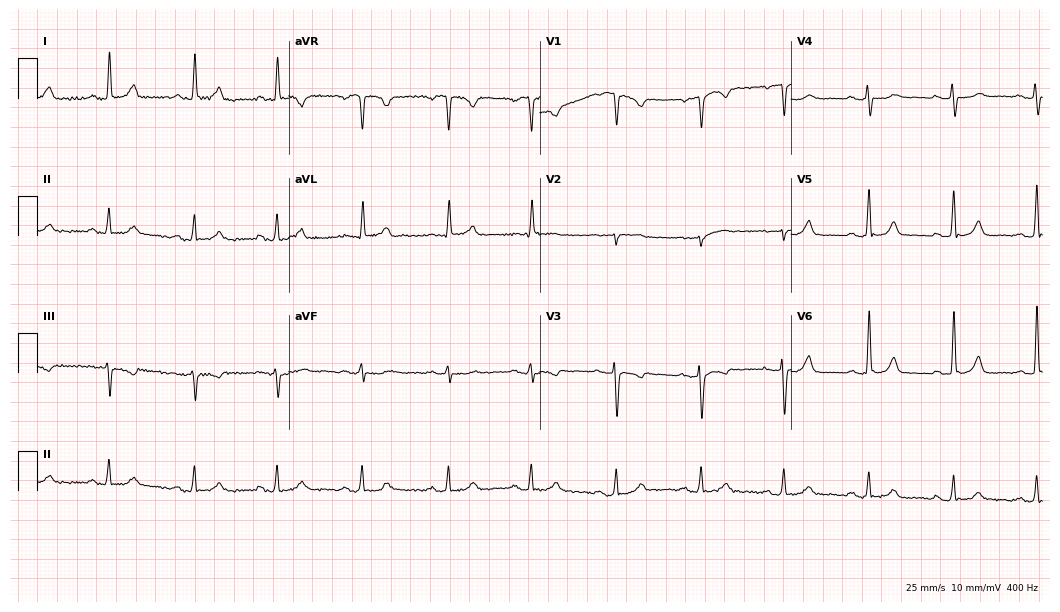
12-lead ECG from a 70-year-old female patient (10.2-second recording at 400 Hz). No first-degree AV block, right bundle branch block, left bundle branch block, sinus bradycardia, atrial fibrillation or sinus tachycardia recorded for this tracing.